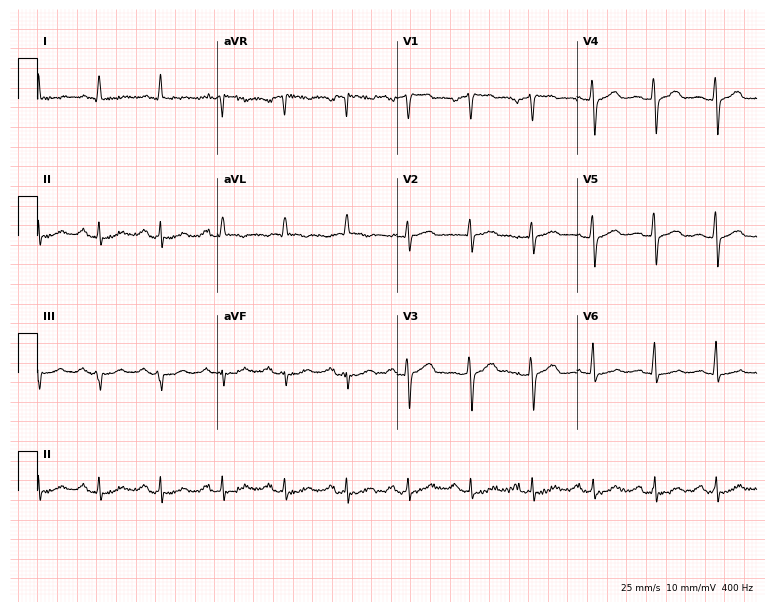
12-lead ECG from a male patient, 58 years old. Screened for six findings — first-degree AV block, right bundle branch block (RBBB), left bundle branch block (LBBB), sinus bradycardia, atrial fibrillation (AF), sinus tachycardia — none is recorded.